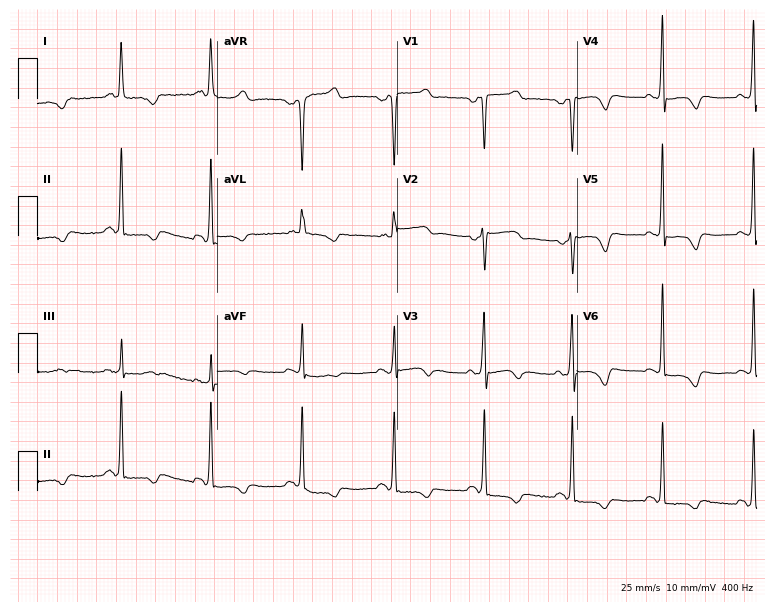
12-lead ECG from a 64-year-old male. Screened for six findings — first-degree AV block, right bundle branch block, left bundle branch block, sinus bradycardia, atrial fibrillation, sinus tachycardia — none is recorded. Other findings, if any, are not listed.